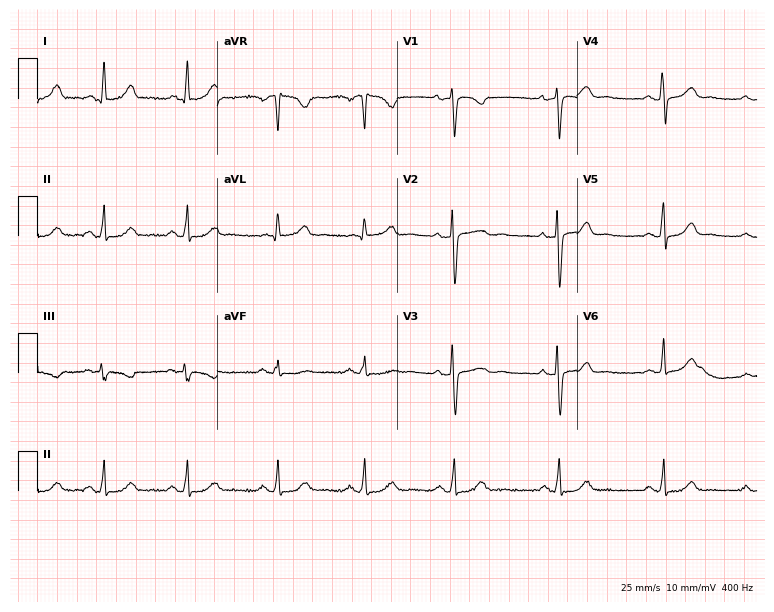
Electrocardiogram, a female patient, 41 years old. Overall reading on record: normal ECG.